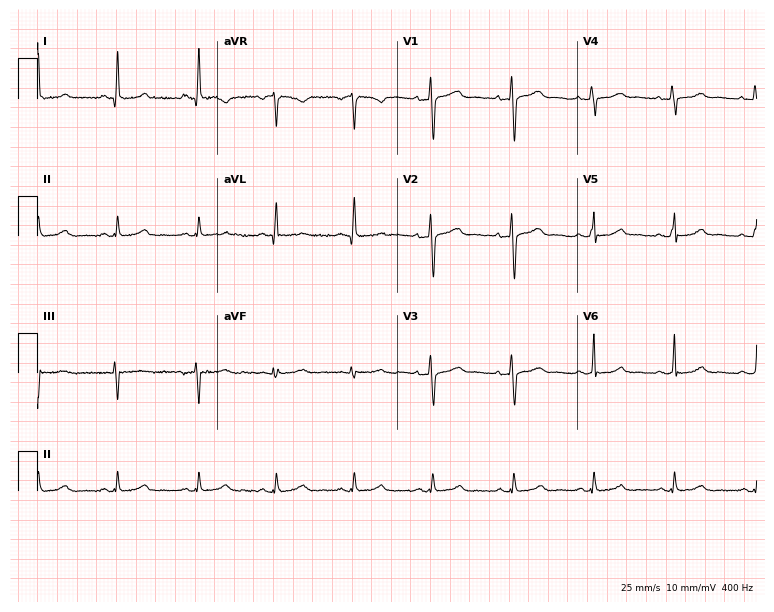
Electrocardiogram (7.3-second recording at 400 Hz), a 47-year-old female patient. Overall reading on record: normal ECG.